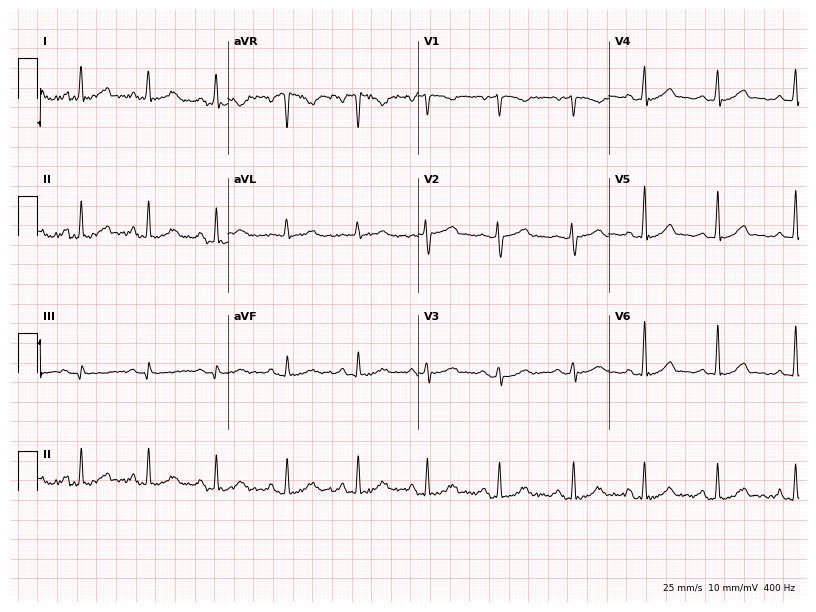
Electrocardiogram, a 34-year-old female. Overall reading on record: normal ECG.